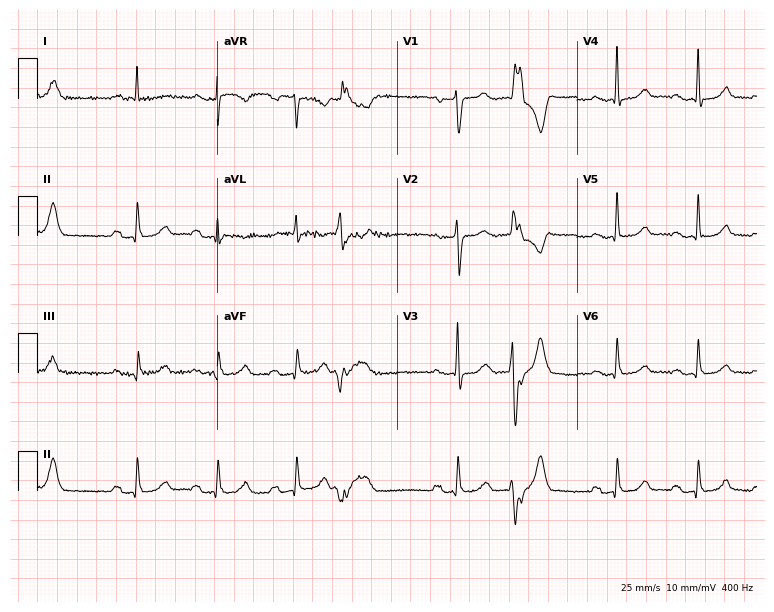
12-lead ECG from an 80-year-old woman. Findings include first-degree AV block.